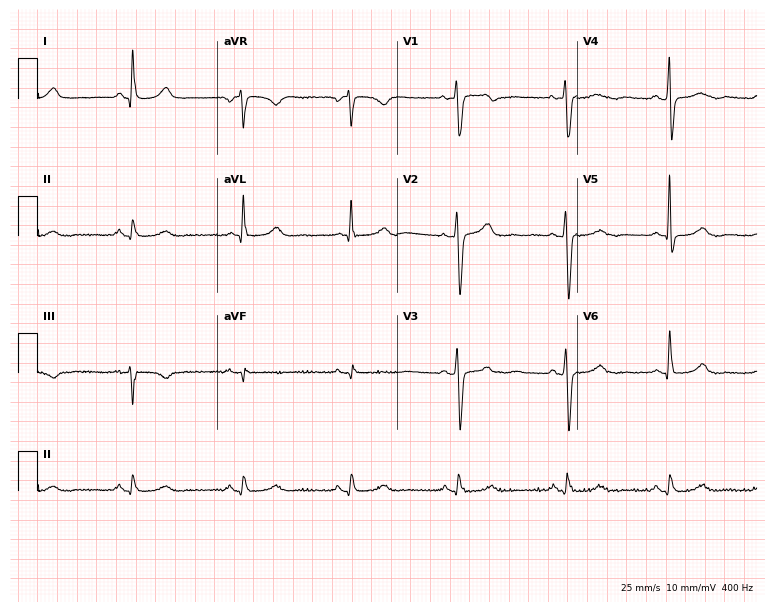
12-lead ECG from a 53-year-old woman (7.3-second recording at 400 Hz). No first-degree AV block, right bundle branch block (RBBB), left bundle branch block (LBBB), sinus bradycardia, atrial fibrillation (AF) or sinus tachycardia recorded for this tracing.